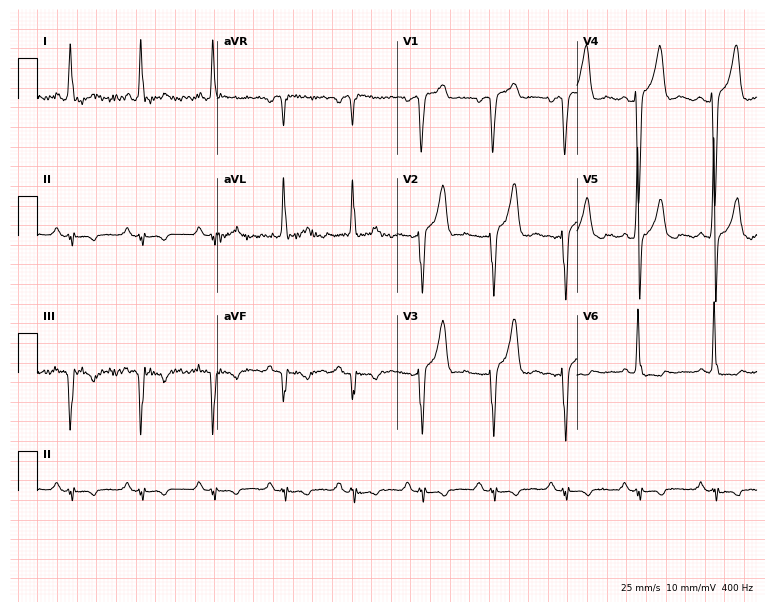
12-lead ECG (7.3-second recording at 400 Hz) from a 62-year-old male patient. Screened for six findings — first-degree AV block, right bundle branch block, left bundle branch block, sinus bradycardia, atrial fibrillation, sinus tachycardia — none is recorded. Findings outside these six are not listed.